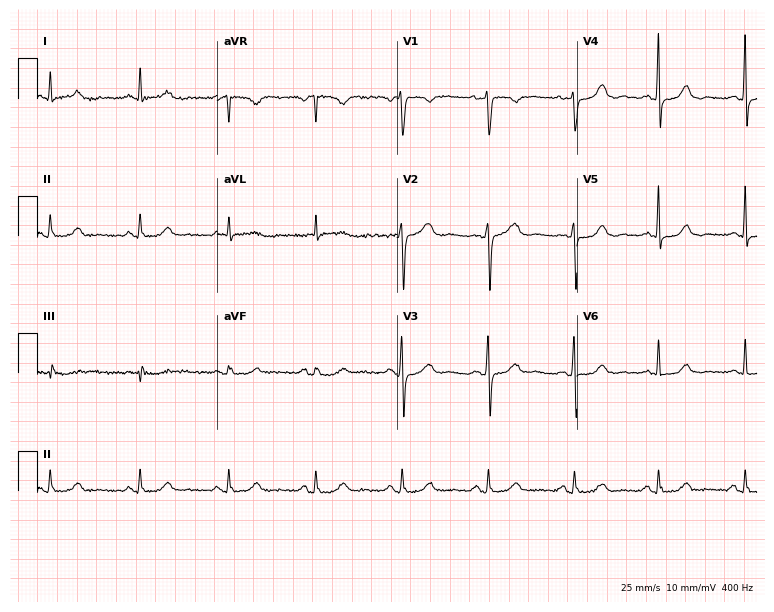
12-lead ECG from a 51-year-old woman (7.3-second recording at 400 Hz). Recorded interpretation: within normal limits.